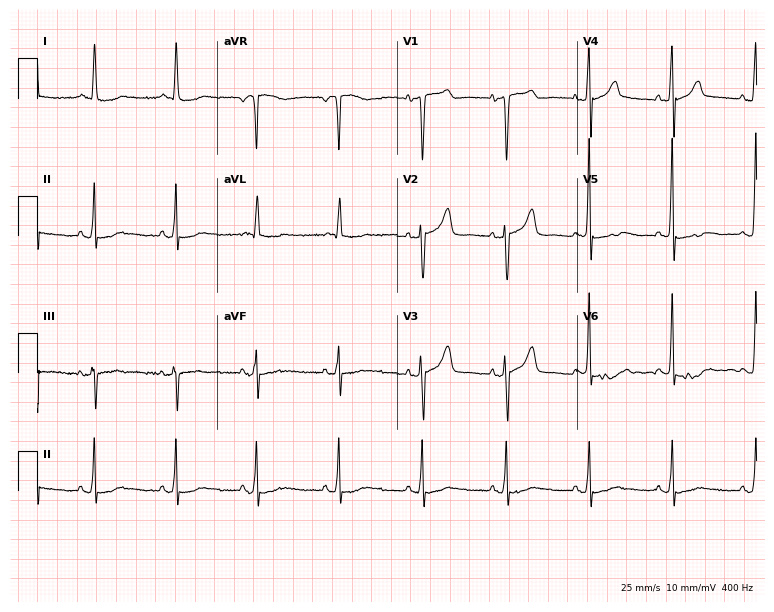
ECG — a female, 74 years old. Screened for six findings — first-degree AV block, right bundle branch block, left bundle branch block, sinus bradycardia, atrial fibrillation, sinus tachycardia — none is recorded. Only these six findings were labelled.